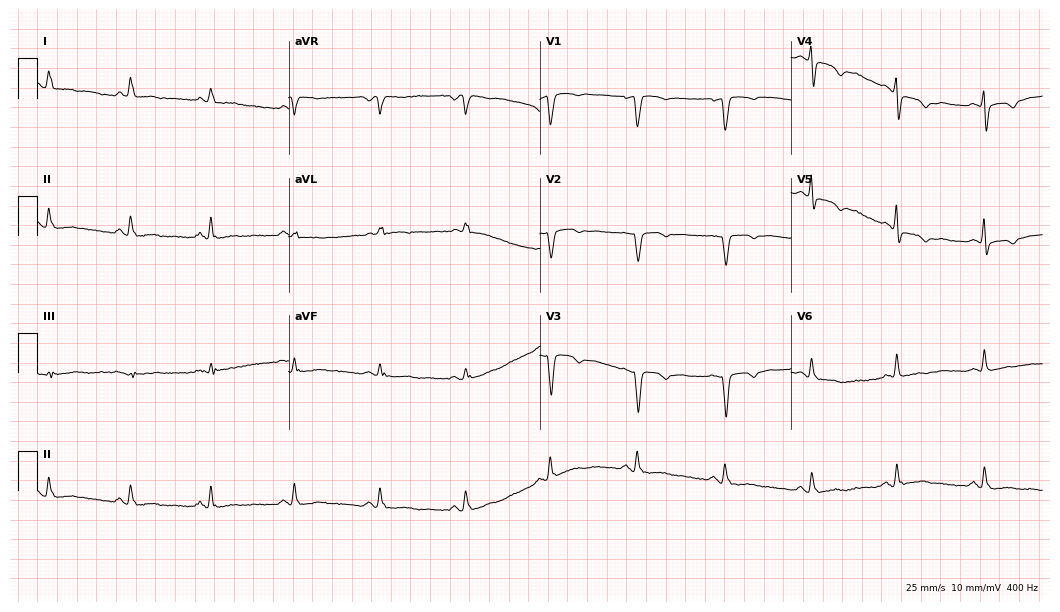
12-lead ECG (10.2-second recording at 400 Hz) from a 67-year-old female patient. Screened for six findings — first-degree AV block, right bundle branch block, left bundle branch block, sinus bradycardia, atrial fibrillation, sinus tachycardia — none is recorded.